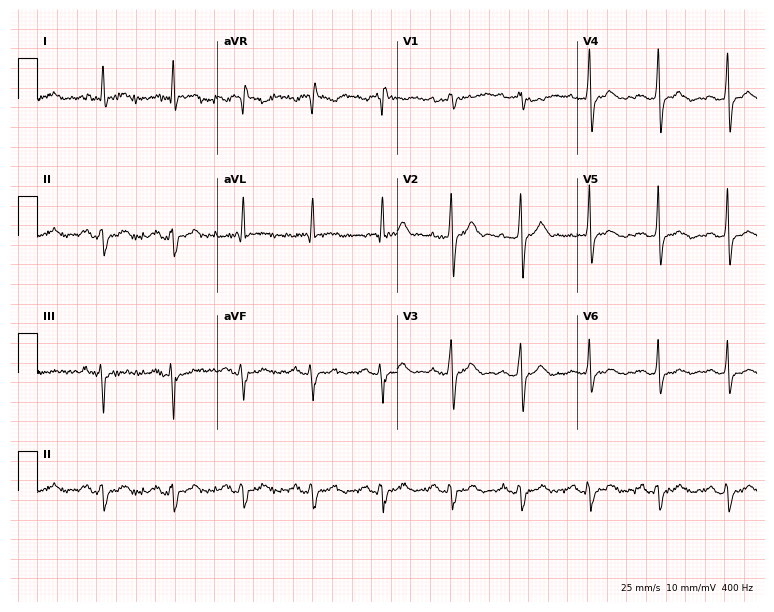
12-lead ECG from a male patient, 54 years old. Screened for six findings — first-degree AV block, right bundle branch block (RBBB), left bundle branch block (LBBB), sinus bradycardia, atrial fibrillation (AF), sinus tachycardia — none is recorded. Other findings, if any, are not listed.